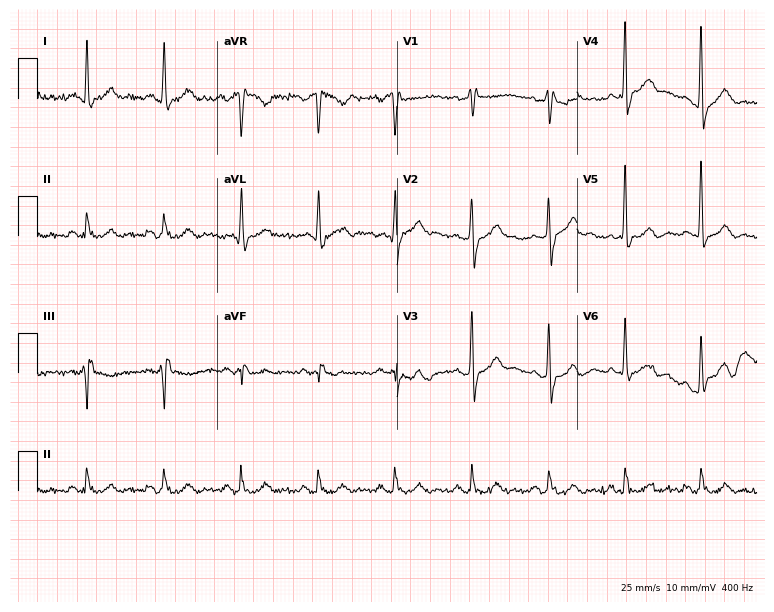
Standard 12-lead ECG recorded from a male, 71 years old (7.3-second recording at 400 Hz). None of these six findings is recorded: first-degree AV block, right bundle branch block, left bundle branch block, sinus bradycardia, atrial fibrillation, sinus tachycardia. Only these six findings were labelled.